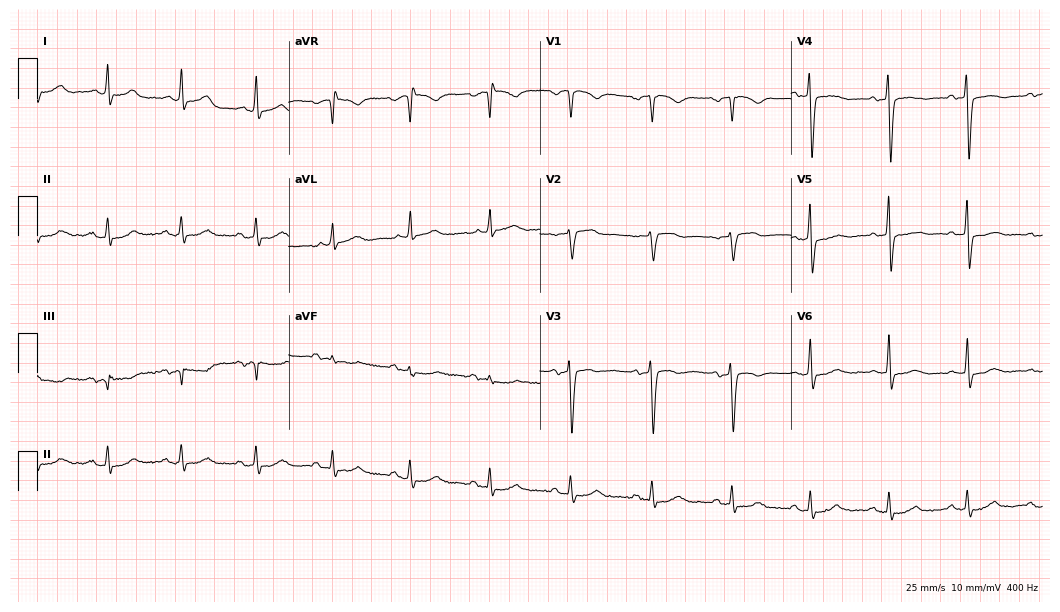
Standard 12-lead ECG recorded from a 76-year-old male patient (10.2-second recording at 400 Hz). Read as a normal ECG.